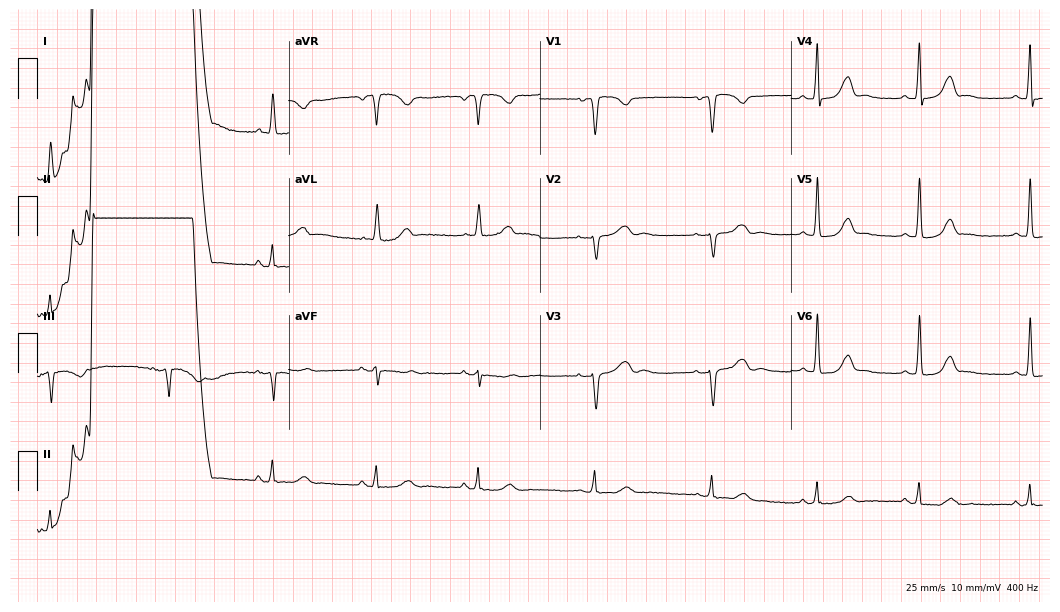
Resting 12-lead electrocardiogram. Patient: a female, 66 years old. None of these six findings is recorded: first-degree AV block, right bundle branch block, left bundle branch block, sinus bradycardia, atrial fibrillation, sinus tachycardia.